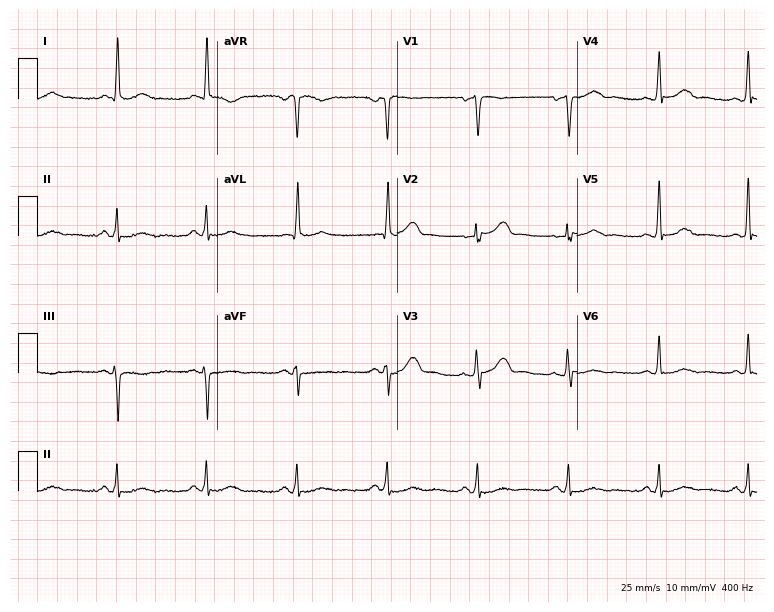
Electrocardiogram (7.3-second recording at 400 Hz), an 80-year-old man. Of the six screened findings (first-degree AV block, right bundle branch block, left bundle branch block, sinus bradycardia, atrial fibrillation, sinus tachycardia), none is recorded. Other findings, if any, are not listed.